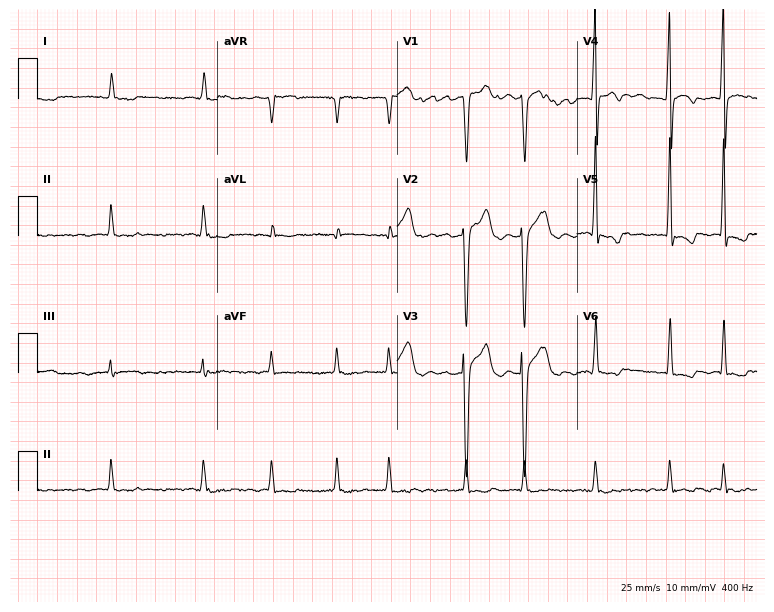
12-lead ECG from a 62-year-old man. Findings include atrial fibrillation.